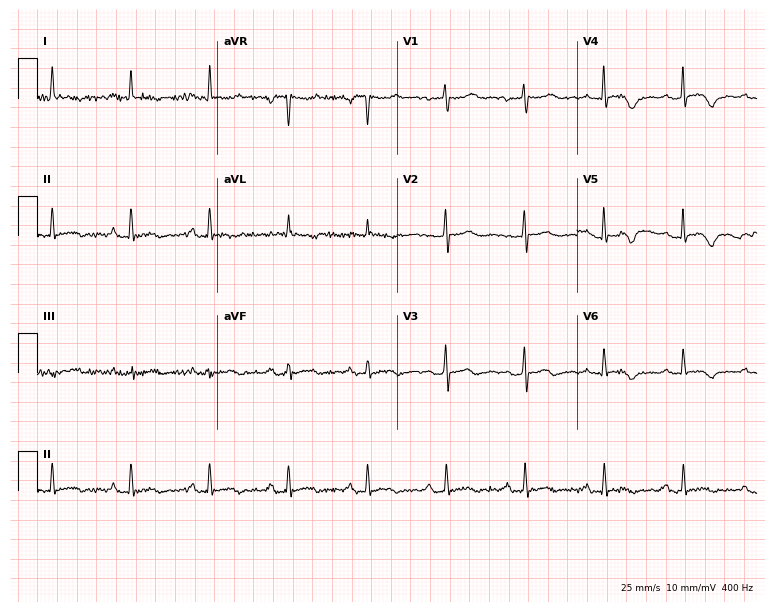
Electrocardiogram (7.3-second recording at 400 Hz), a 65-year-old woman. Overall reading on record: normal ECG.